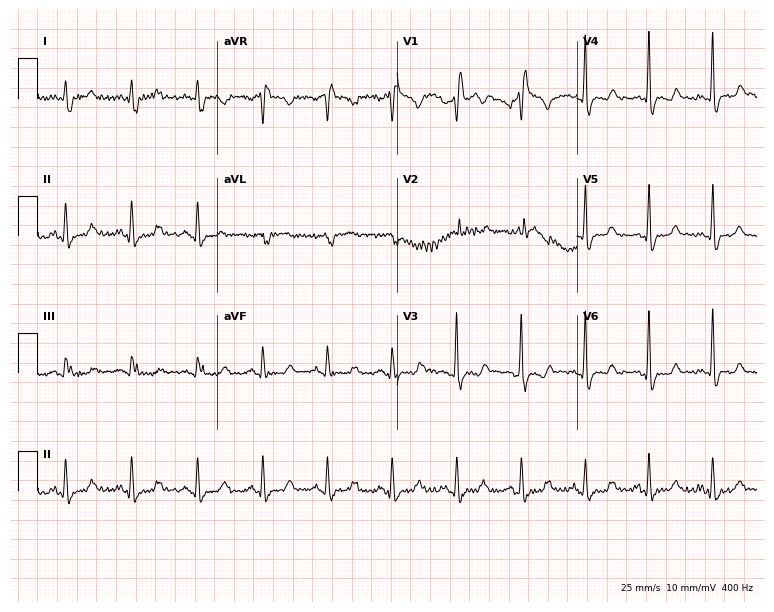
ECG — a 68-year-old male patient. Findings include right bundle branch block (RBBB).